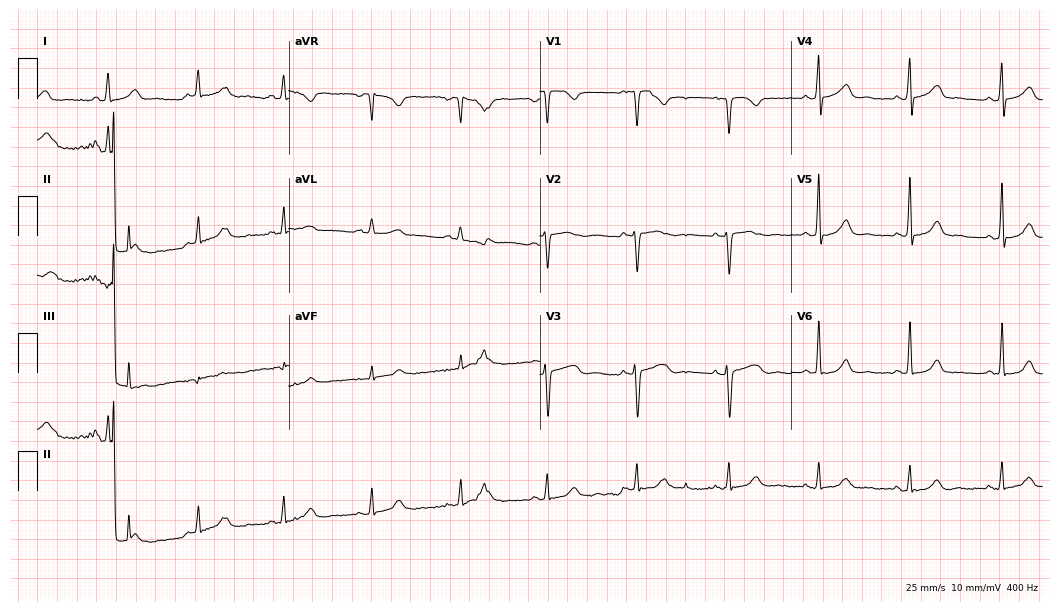
Electrocardiogram (10.2-second recording at 400 Hz), a 49-year-old female. Overall reading on record: normal ECG.